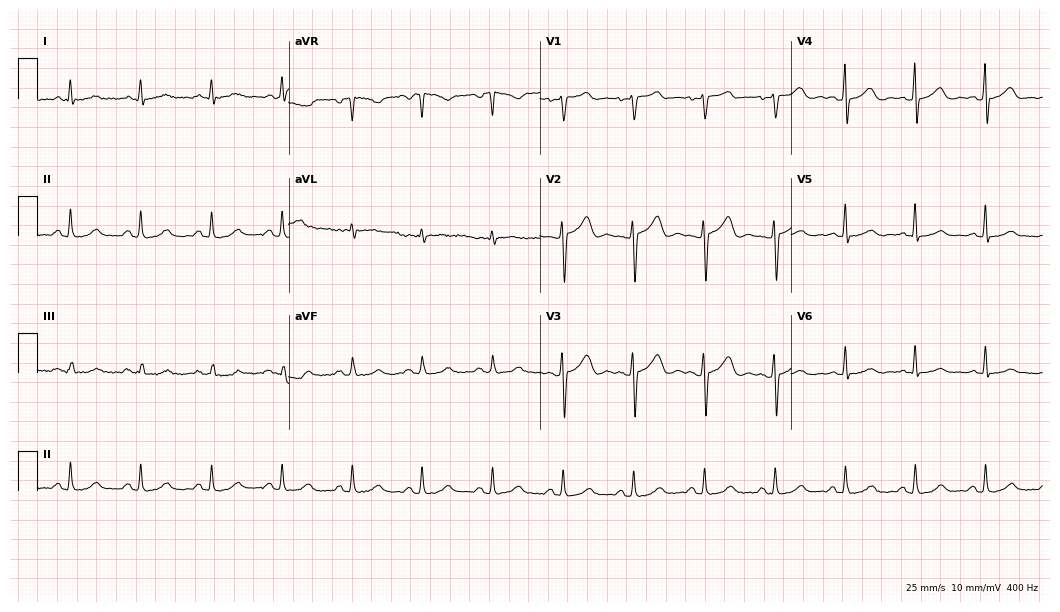
12-lead ECG from a 58-year-old female patient. Recorded interpretation: within normal limits.